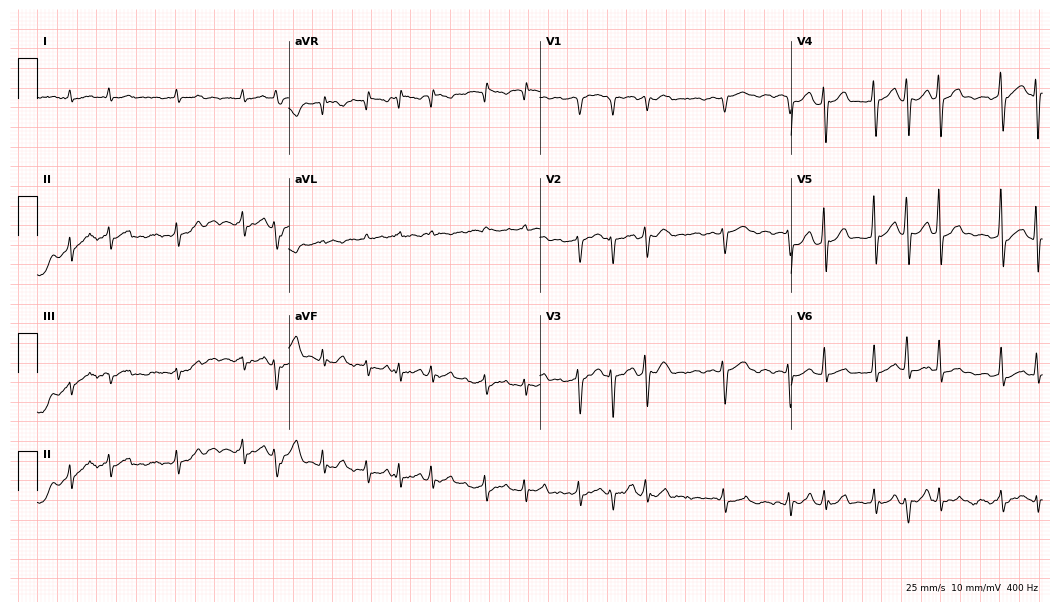
Electrocardiogram, a male patient, 76 years old. Interpretation includes atrial fibrillation.